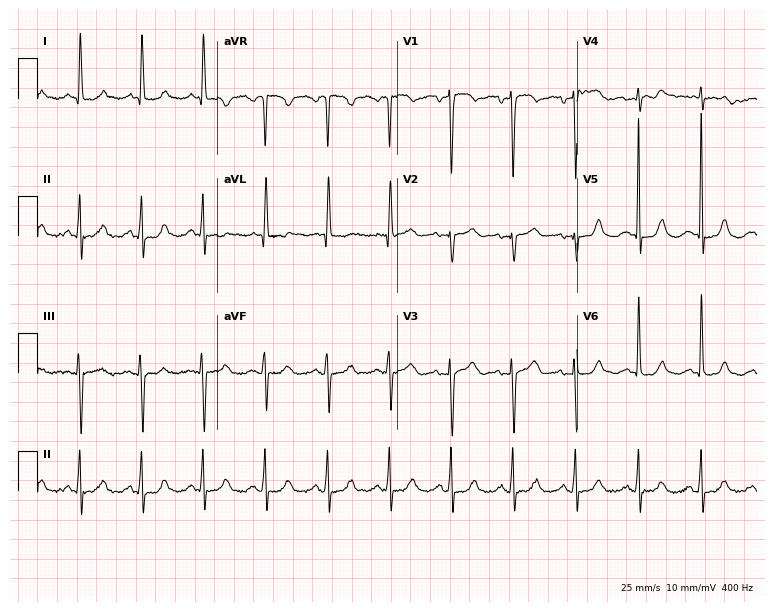
ECG (7.3-second recording at 400 Hz) — a woman, 74 years old. Screened for six findings — first-degree AV block, right bundle branch block, left bundle branch block, sinus bradycardia, atrial fibrillation, sinus tachycardia — none is recorded. Findings outside these six are not listed.